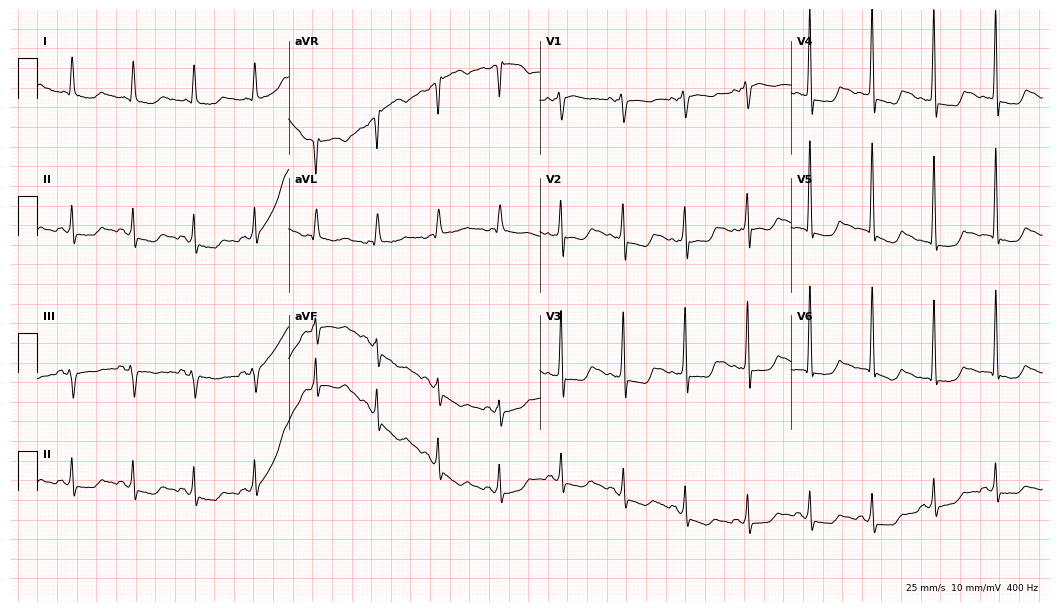
12-lead ECG from a woman, 52 years old. No first-degree AV block, right bundle branch block, left bundle branch block, sinus bradycardia, atrial fibrillation or sinus tachycardia recorded for this tracing. Findings outside these six are not listed.